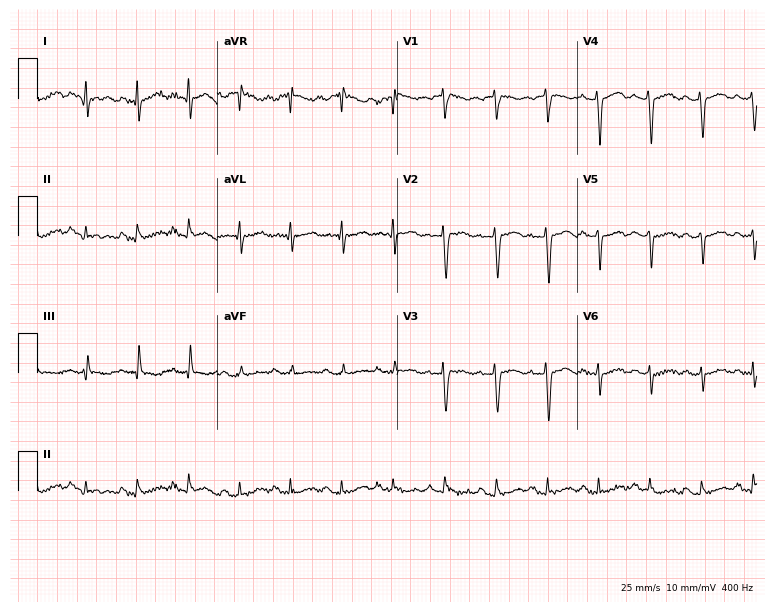
ECG (7.3-second recording at 400 Hz) — a 42-year-old female. Screened for six findings — first-degree AV block, right bundle branch block, left bundle branch block, sinus bradycardia, atrial fibrillation, sinus tachycardia — none is recorded.